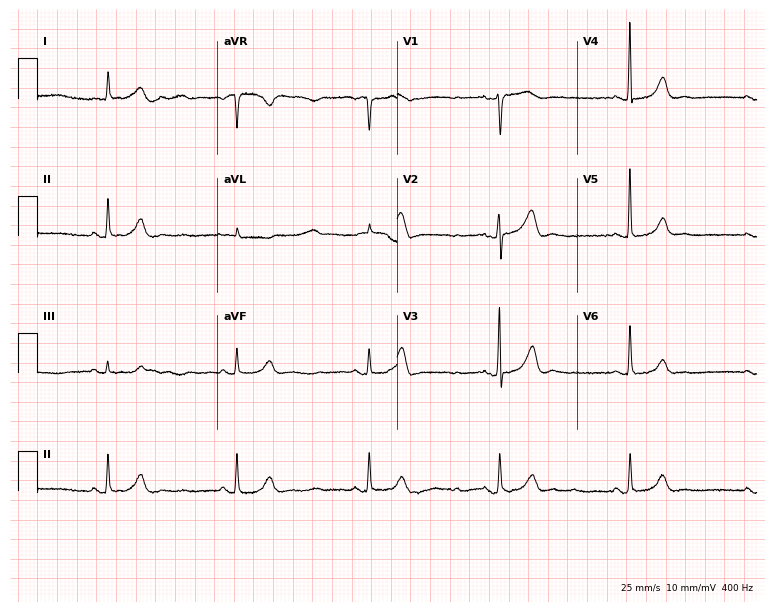
12-lead ECG (7.3-second recording at 400 Hz) from a 67-year-old female patient. Findings include sinus bradycardia (a sinus rate of 50 beats per minute or less).